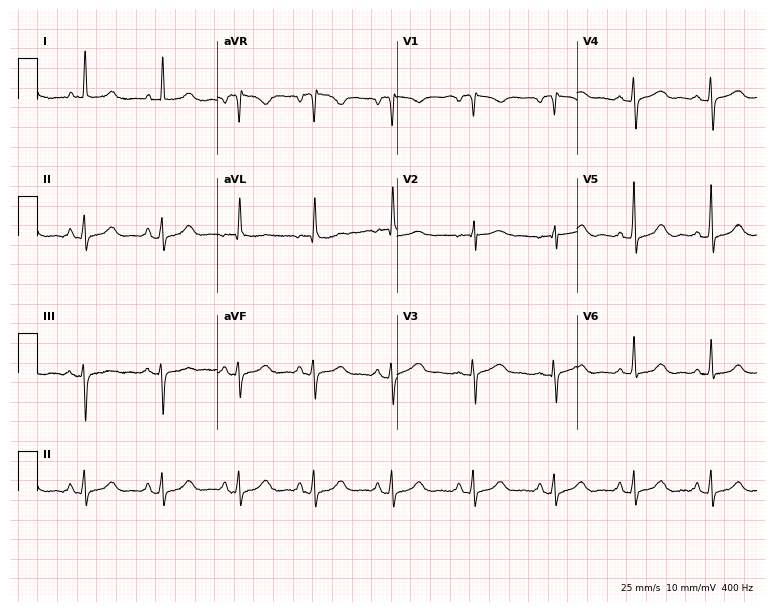
ECG (7.3-second recording at 400 Hz) — a woman, 70 years old. Labelled as a normal ECG.